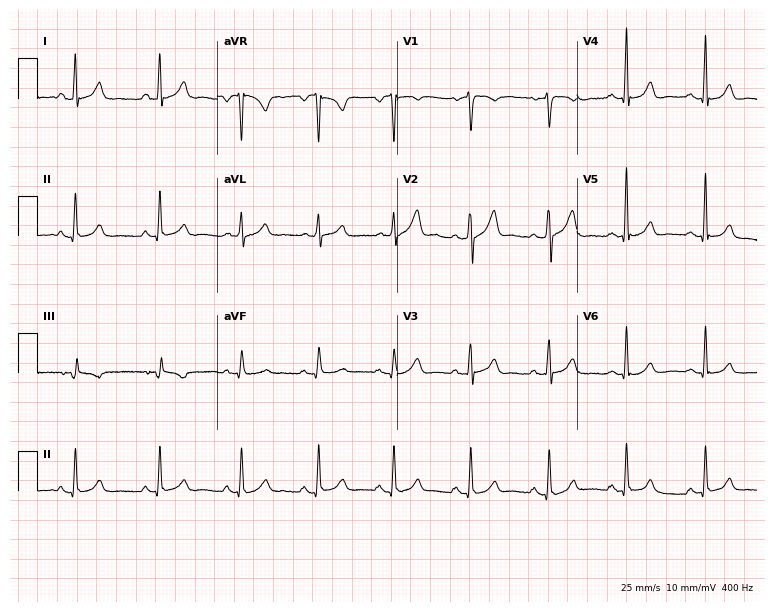
12-lead ECG from a male, 38 years old (7.3-second recording at 400 Hz). Recorded interpretation: within normal limits.